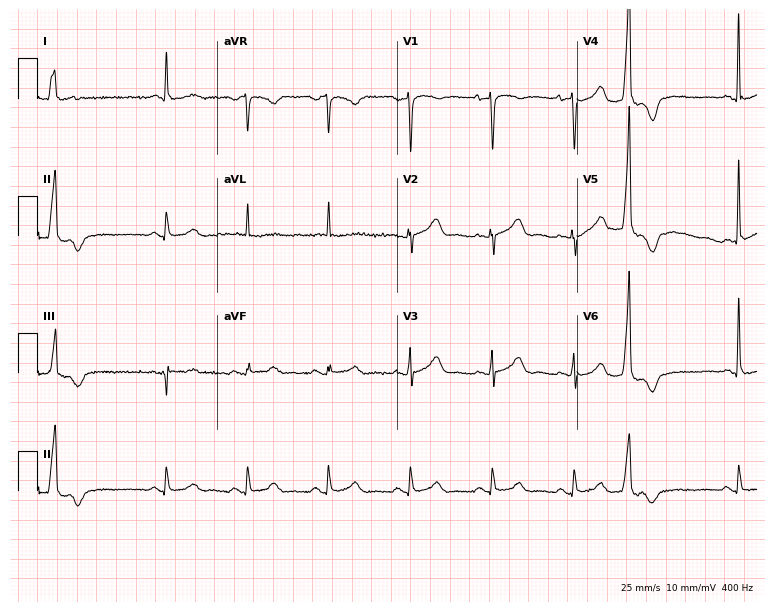
Resting 12-lead electrocardiogram (7.3-second recording at 400 Hz). Patient: a 71-year-old woman. Read as a normal ECG.